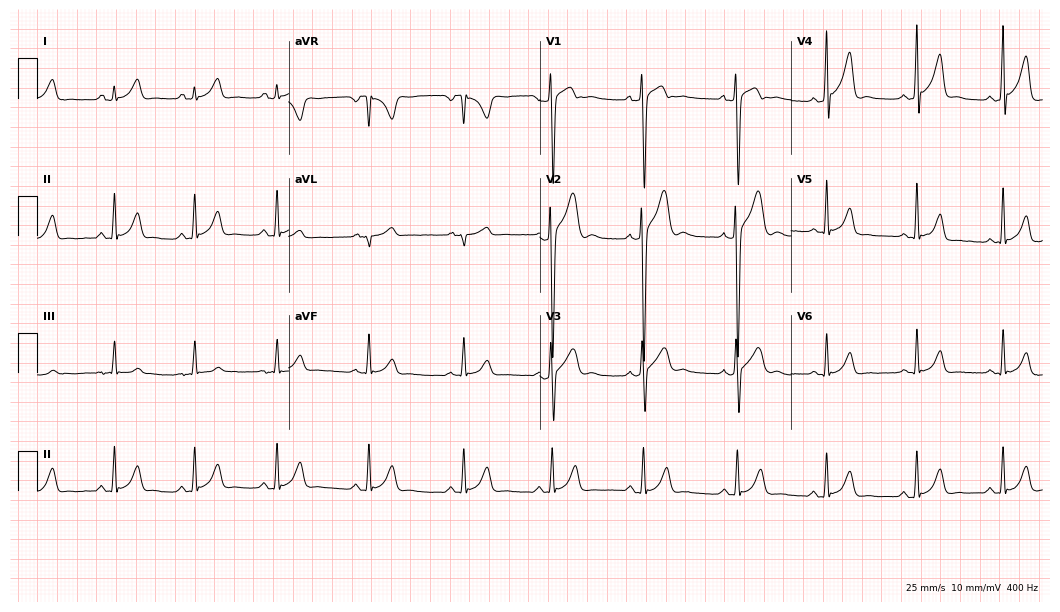
ECG — a woman, 17 years old. Screened for six findings — first-degree AV block, right bundle branch block, left bundle branch block, sinus bradycardia, atrial fibrillation, sinus tachycardia — none is recorded.